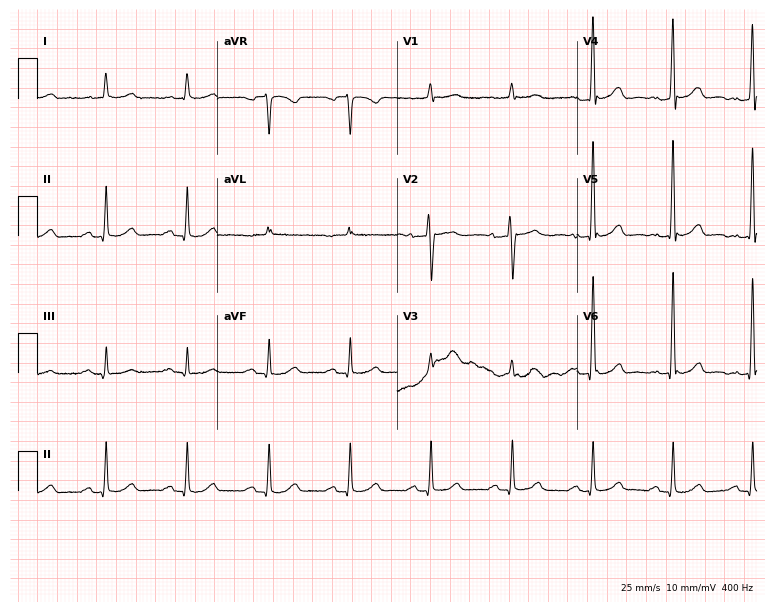
Resting 12-lead electrocardiogram (7.3-second recording at 400 Hz). Patient: a 67-year-old male. None of these six findings is recorded: first-degree AV block, right bundle branch block, left bundle branch block, sinus bradycardia, atrial fibrillation, sinus tachycardia. Findings outside these six are not listed.